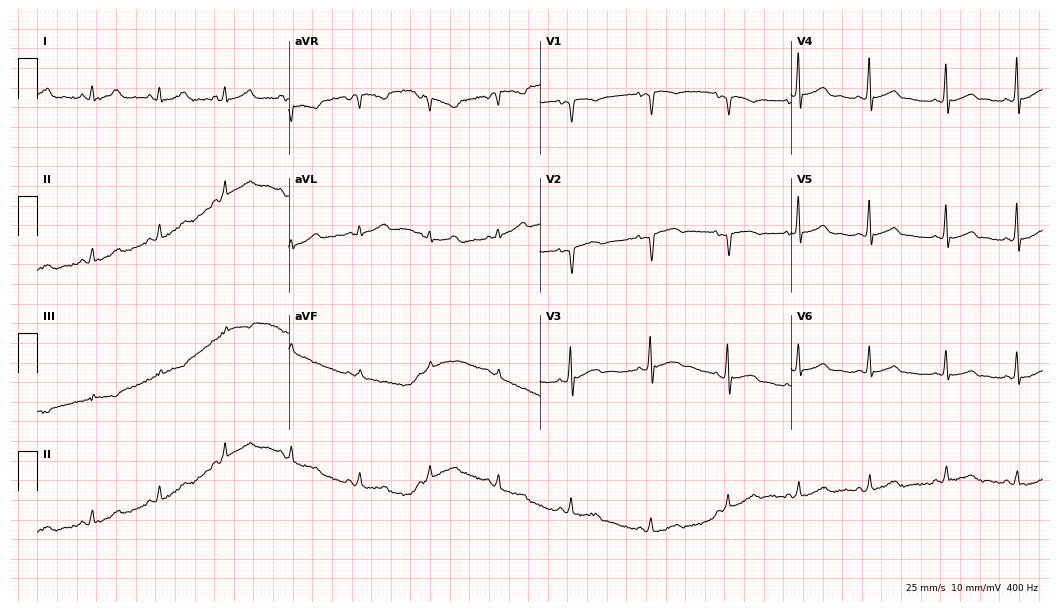
12-lead ECG from a female, 31 years old. Recorded interpretation: within normal limits.